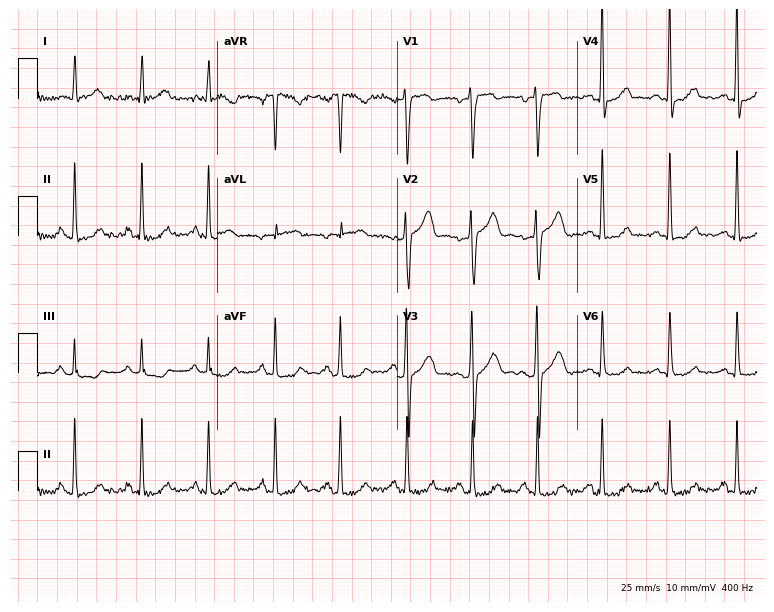
12-lead ECG from a man, 31 years old. No first-degree AV block, right bundle branch block, left bundle branch block, sinus bradycardia, atrial fibrillation or sinus tachycardia recorded for this tracing. Findings outside these six are not listed.